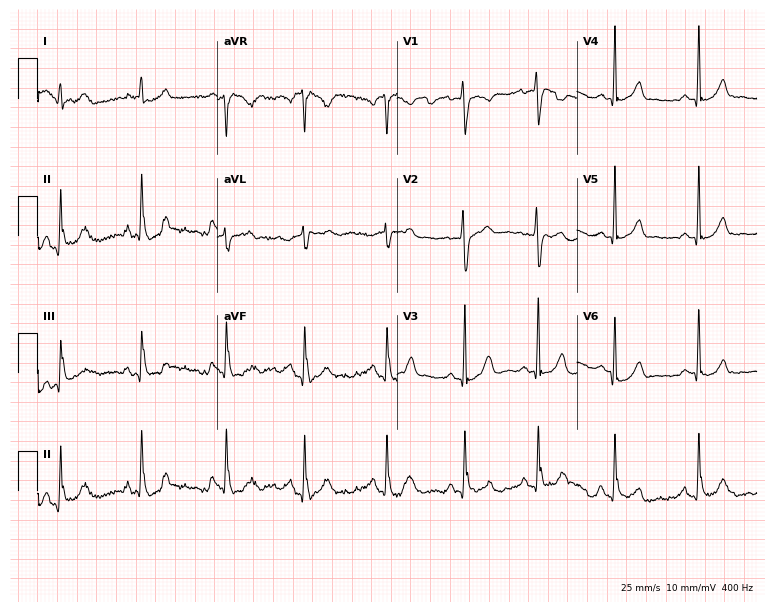
Resting 12-lead electrocardiogram. Patient: a 32-year-old female. Read as a normal ECG.